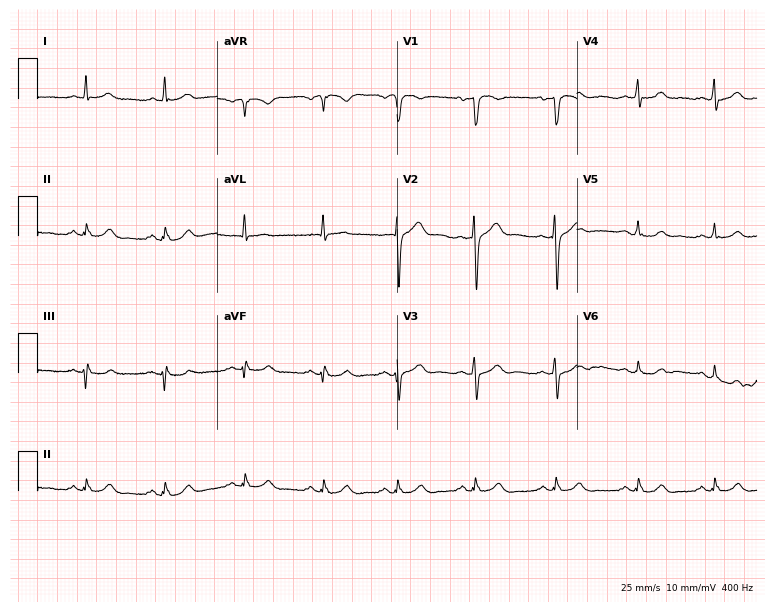
12-lead ECG from a man, 66 years old. Labelled as a normal ECG.